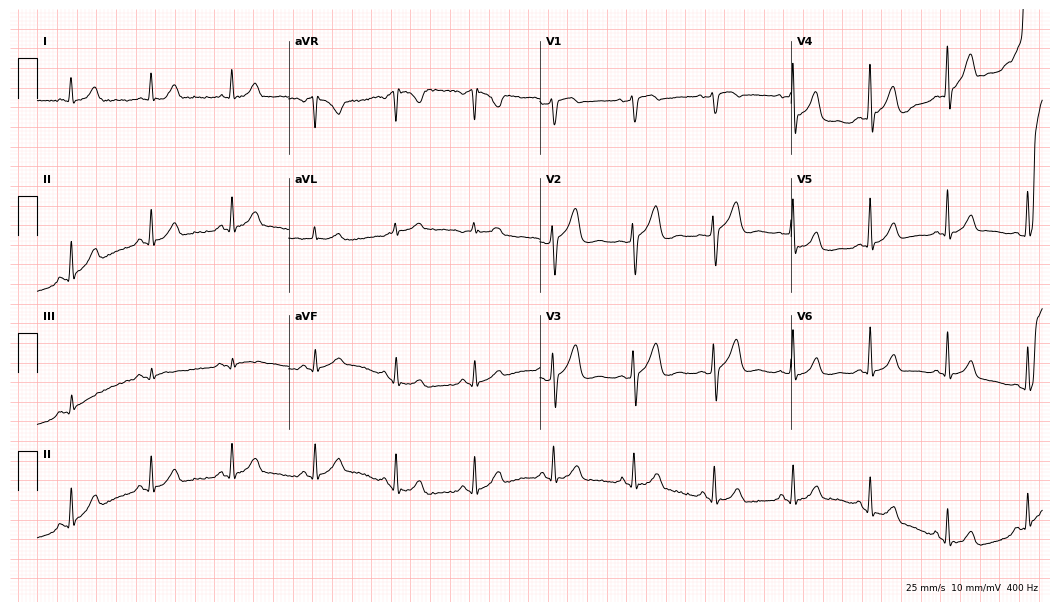
12-lead ECG from a male, 68 years old. Screened for six findings — first-degree AV block, right bundle branch block (RBBB), left bundle branch block (LBBB), sinus bradycardia, atrial fibrillation (AF), sinus tachycardia — none is recorded. Only these six findings were labelled.